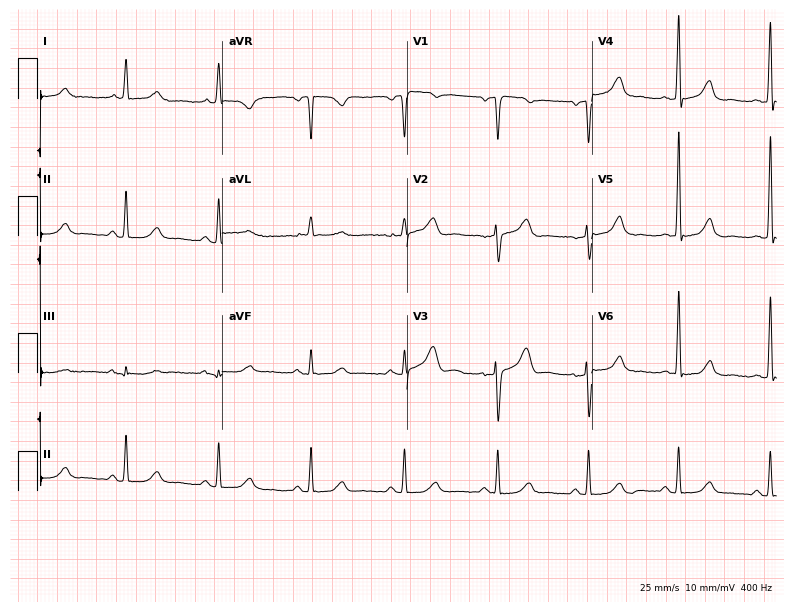
12-lead ECG from a woman, 57 years old. No first-degree AV block, right bundle branch block, left bundle branch block, sinus bradycardia, atrial fibrillation or sinus tachycardia recorded for this tracing. Findings outside these six are not listed.